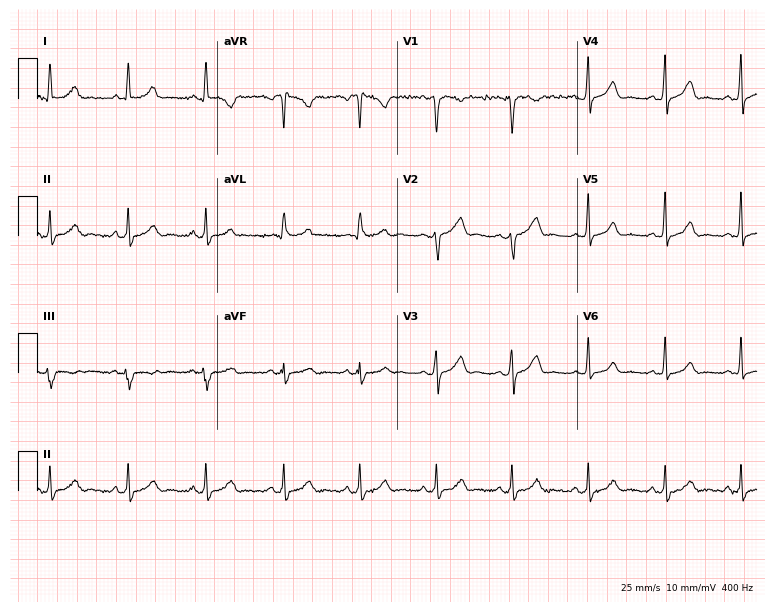
Standard 12-lead ECG recorded from a 46-year-old woman. None of these six findings is recorded: first-degree AV block, right bundle branch block, left bundle branch block, sinus bradycardia, atrial fibrillation, sinus tachycardia. Other findings, if any, are not listed.